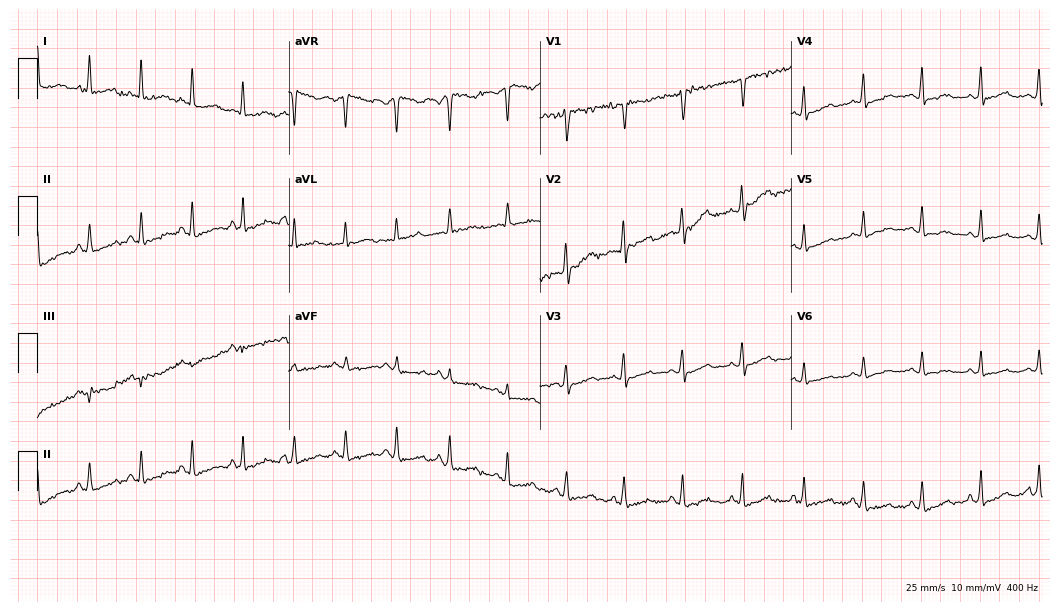
12-lead ECG from a 34-year-old woman. Screened for six findings — first-degree AV block, right bundle branch block, left bundle branch block, sinus bradycardia, atrial fibrillation, sinus tachycardia — none is recorded. Only these six findings were labelled.